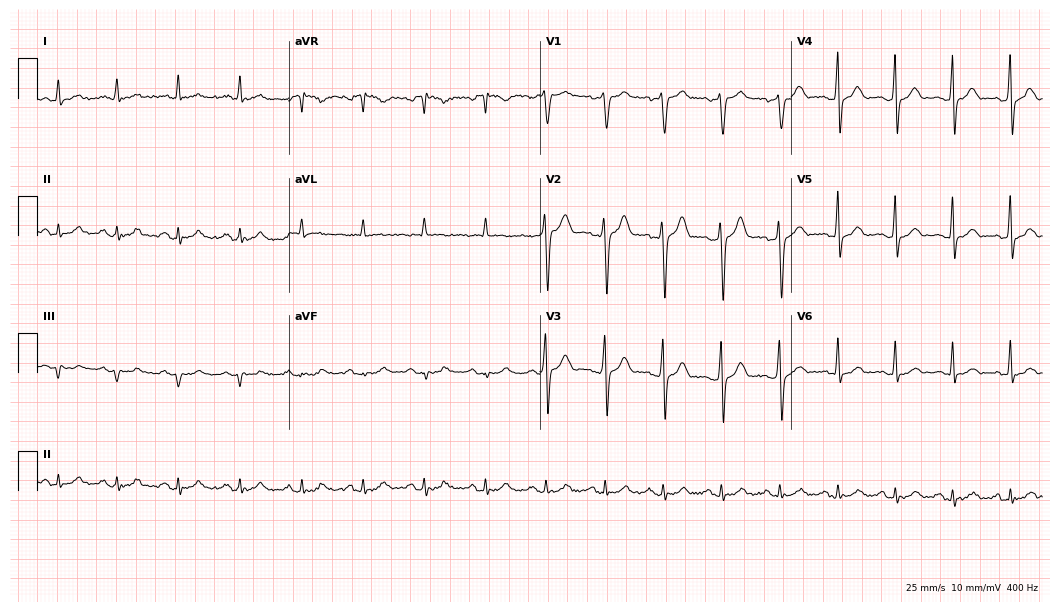
ECG (10.2-second recording at 400 Hz) — a 49-year-old man. Labelled as a normal ECG.